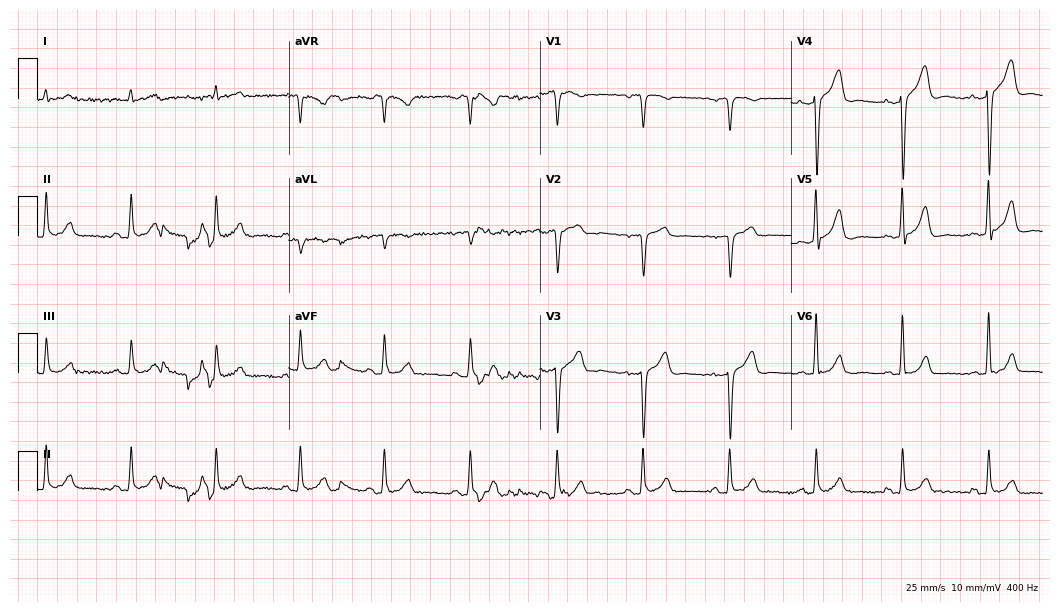
Electrocardiogram (10.2-second recording at 400 Hz), a man, 81 years old. Of the six screened findings (first-degree AV block, right bundle branch block (RBBB), left bundle branch block (LBBB), sinus bradycardia, atrial fibrillation (AF), sinus tachycardia), none is recorded. Findings outside these six are not listed.